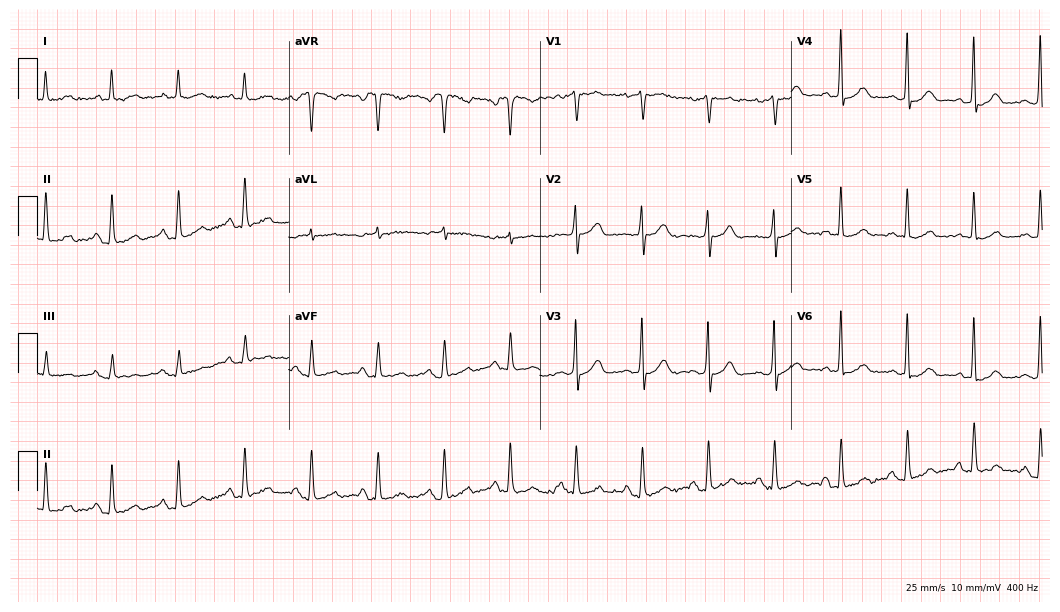
ECG — a 75-year-old woman. Screened for six findings — first-degree AV block, right bundle branch block, left bundle branch block, sinus bradycardia, atrial fibrillation, sinus tachycardia — none is recorded. Only these six findings were labelled.